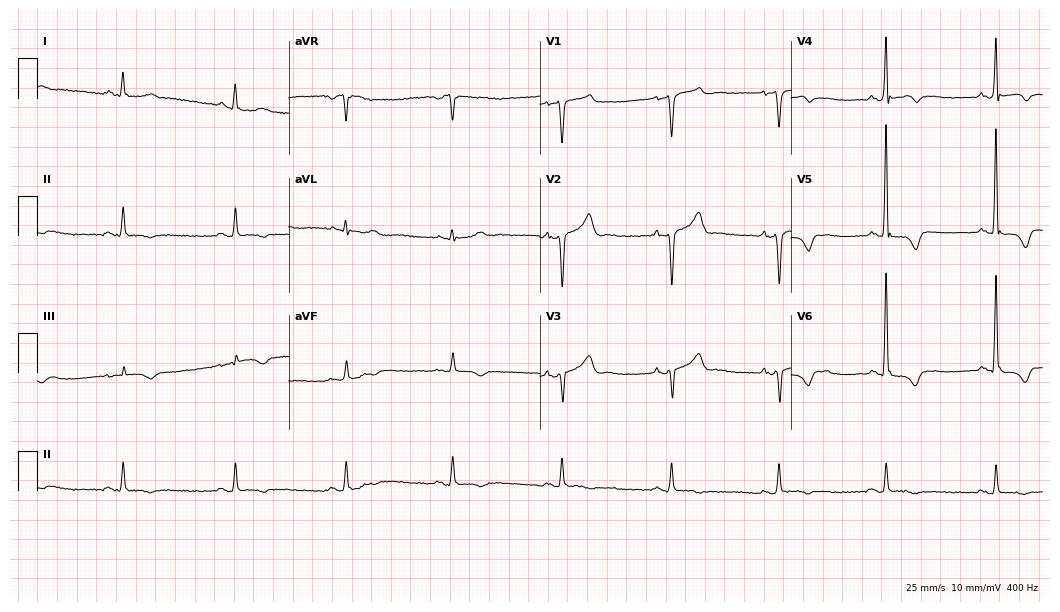
Standard 12-lead ECG recorded from a male, 58 years old (10.2-second recording at 400 Hz). None of these six findings is recorded: first-degree AV block, right bundle branch block, left bundle branch block, sinus bradycardia, atrial fibrillation, sinus tachycardia.